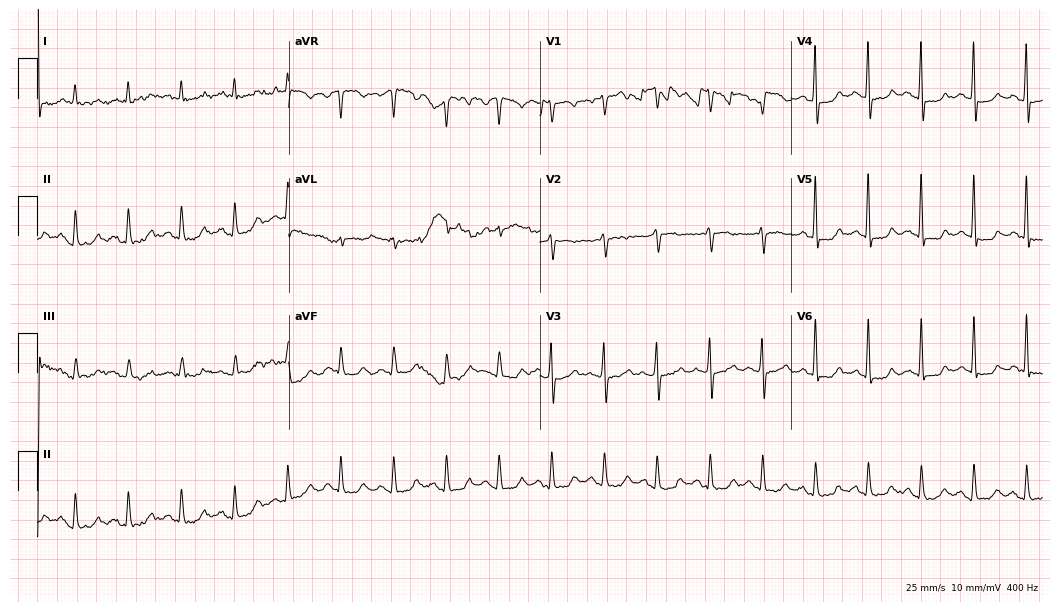
12-lead ECG from an 85-year-old man. No first-degree AV block, right bundle branch block (RBBB), left bundle branch block (LBBB), sinus bradycardia, atrial fibrillation (AF) or sinus tachycardia recorded for this tracing.